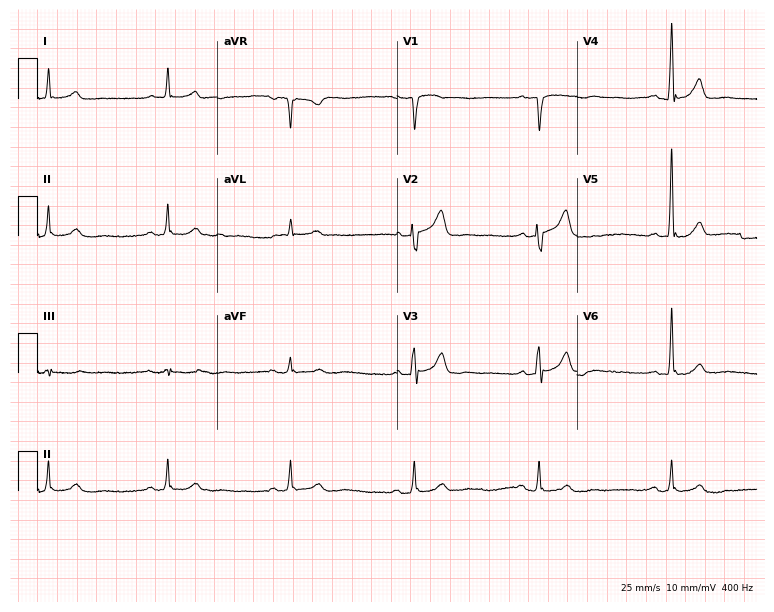
Standard 12-lead ECG recorded from a 71-year-old male. The tracing shows sinus bradycardia (a sinus rate of 50 beats per minute or less).